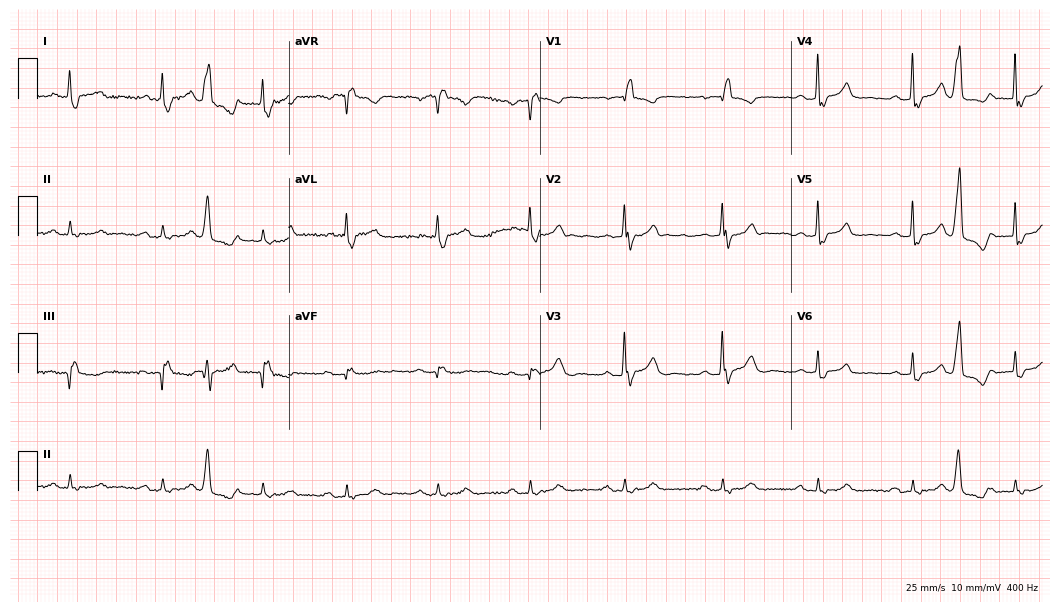
12-lead ECG from a 77-year-old female. Shows right bundle branch block (RBBB).